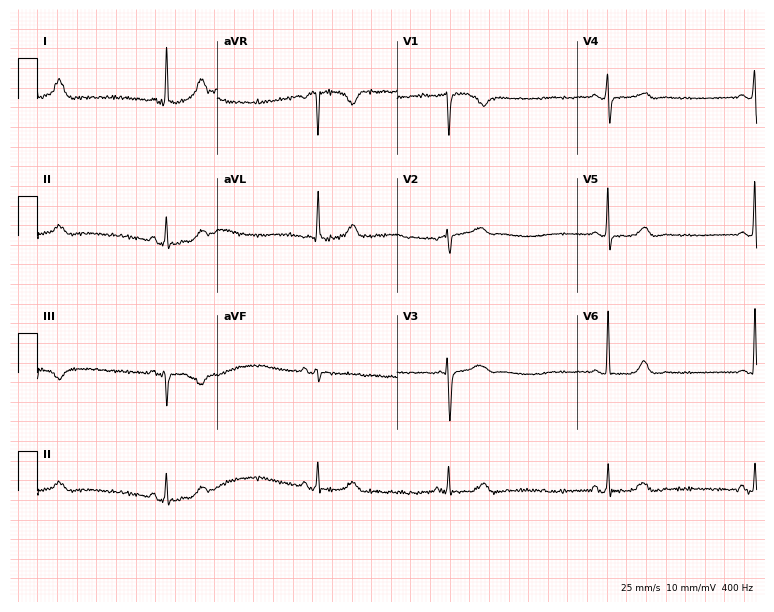
12-lead ECG from a female patient, 75 years old (7.3-second recording at 400 Hz). Shows sinus bradycardia (a sinus rate of 50 beats per minute or less).